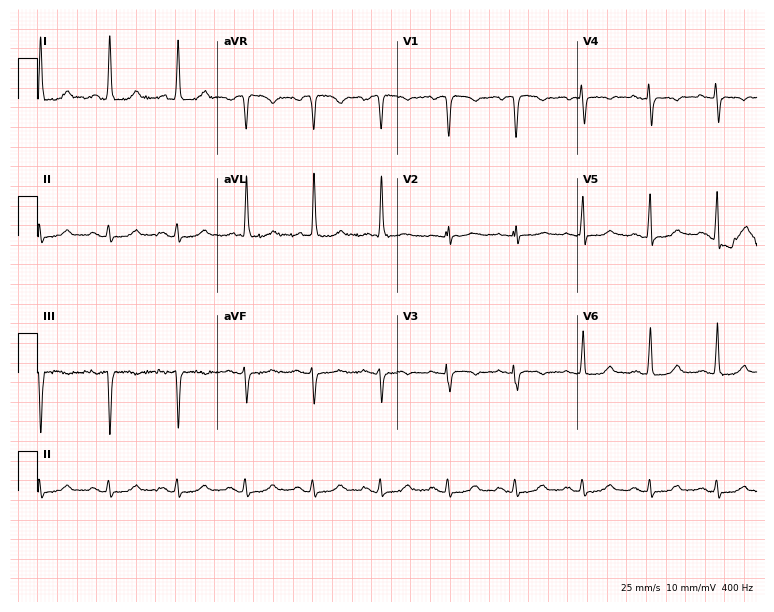
12-lead ECG (7.3-second recording at 400 Hz) from a female patient, 80 years old. Screened for six findings — first-degree AV block, right bundle branch block (RBBB), left bundle branch block (LBBB), sinus bradycardia, atrial fibrillation (AF), sinus tachycardia — none is recorded. Only these six findings were labelled.